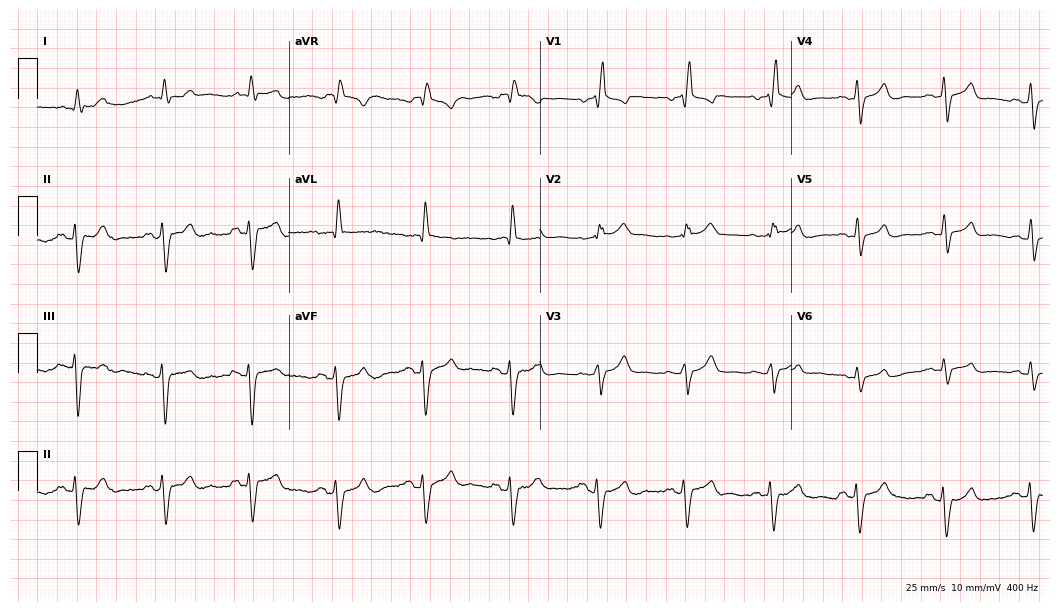
Electrocardiogram, a male, 68 years old. Of the six screened findings (first-degree AV block, right bundle branch block, left bundle branch block, sinus bradycardia, atrial fibrillation, sinus tachycardia), none is recorded.